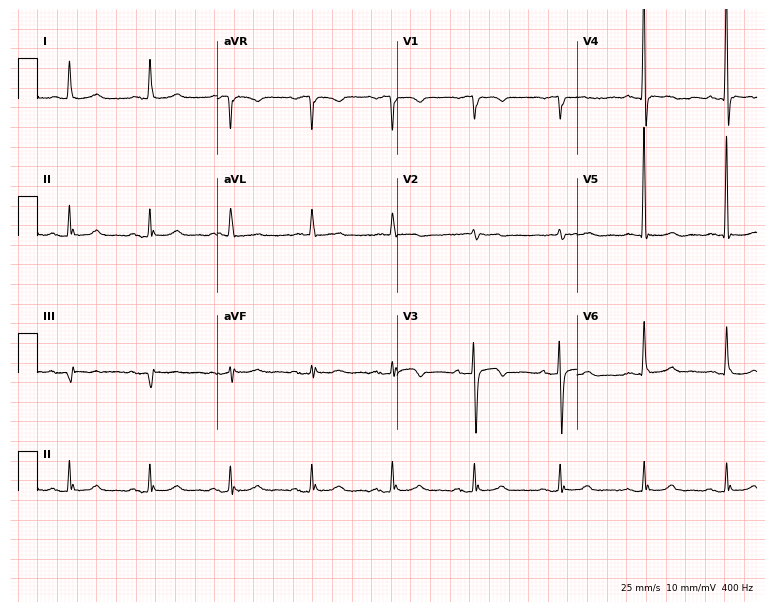
Standard 12-lead ECG recorded from a 79-year-old female patient. None of these six findings is recorded: first-degree AV block, right bundle branch block, left bundle branch block, sinus bradycardia, atrial fibrillation, sinus tachycardia. Other findings, if any, are not listed.